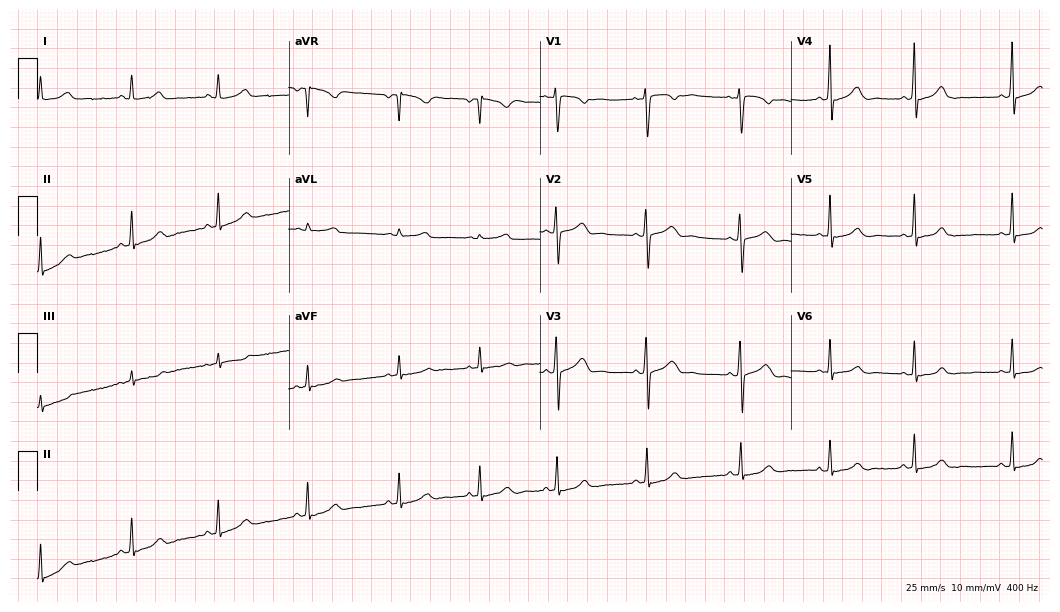
ECG (10.2-second recording at 400 Hz) — a 17-year-old female patient. Labelled as a normal ECG.